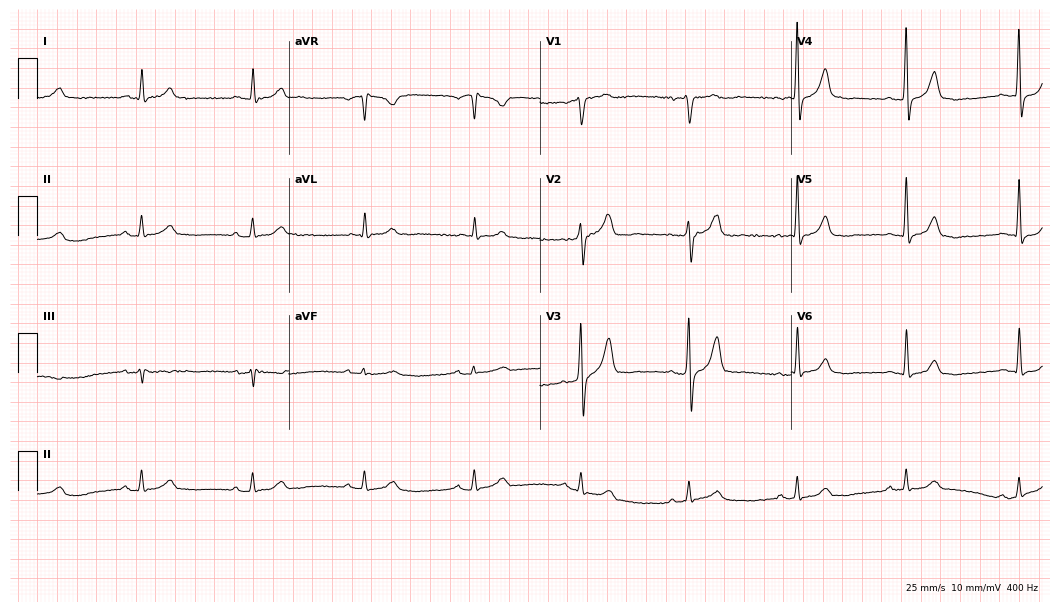
Electrocardiogram (10.2-second recording at 400 Hz), a man, 79 years old. Overall reading on record: normal ECG.